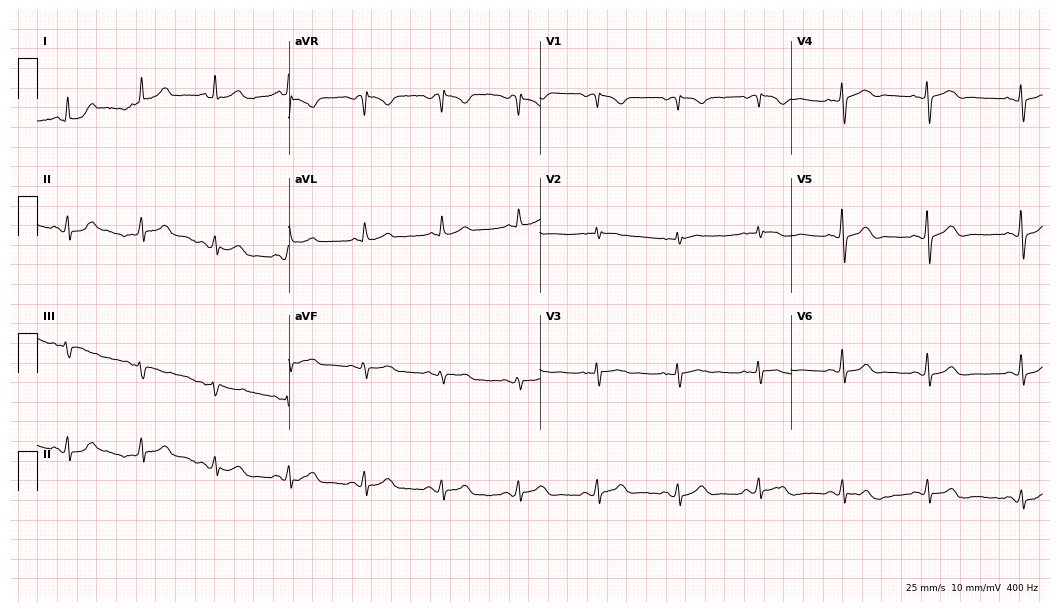
Resting 12-lead electrocardiogram (10.2-second recording at 400 Hz). Patient: an 81-year-old female. Read as a normal ECG.